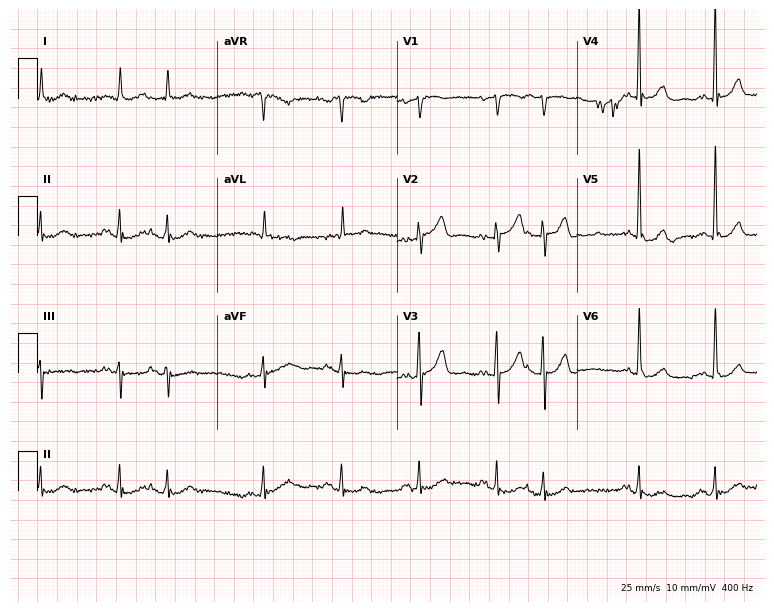
Resting 12-lead electrocardiogram. Patient: a woman, 71 years old. None of these six findings is recorded: first-degree AV block, right bundle branch block, left bundle branch block, sinus bradycardia, atrial fibrillation, sinus tachycardia. Other findings, if any, are not listed.